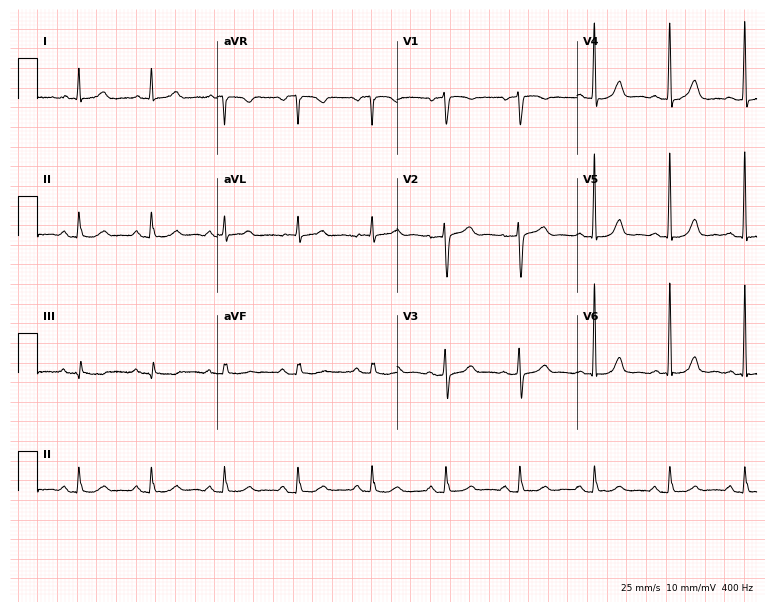
ECG — an 80-year-old female. Labelled as a normal ECG.